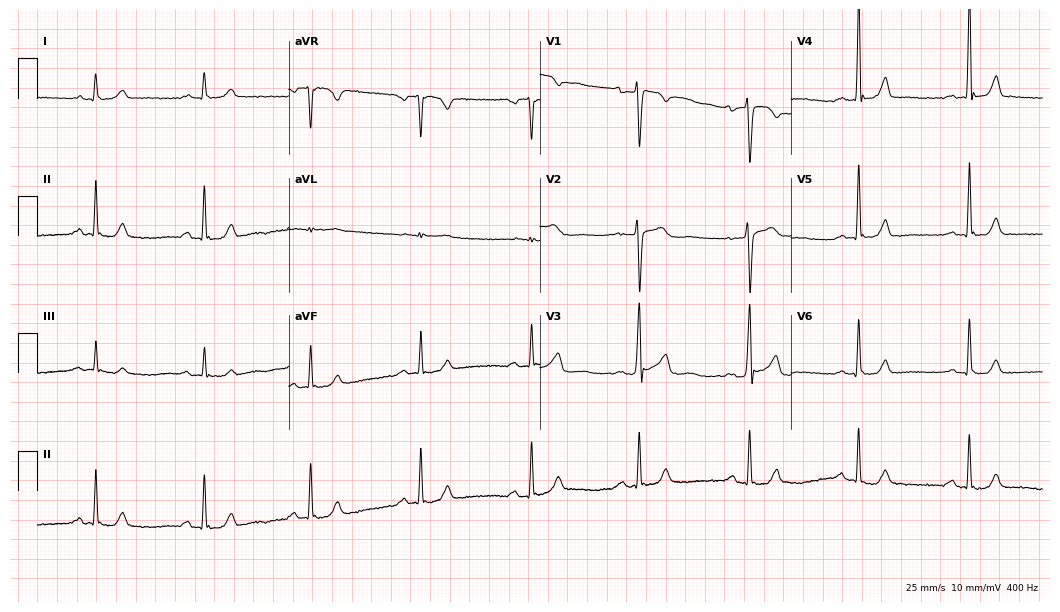
Standard 12-lead ECG recorded from a male, 46 years old. Read as a normal ECG.